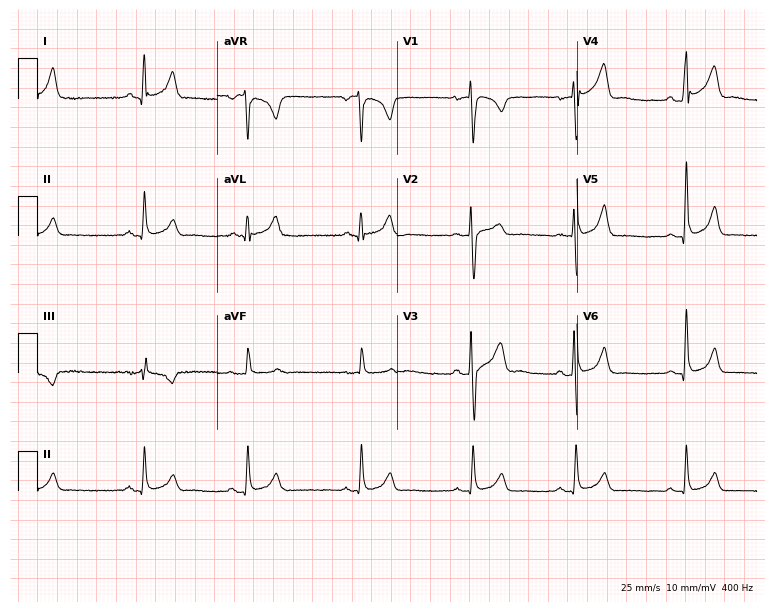
Resting 12-lead electrocardiogram (7.3-second recording at 400 Hz). Patient: a 26-year-old male. Read as a normal ECG.